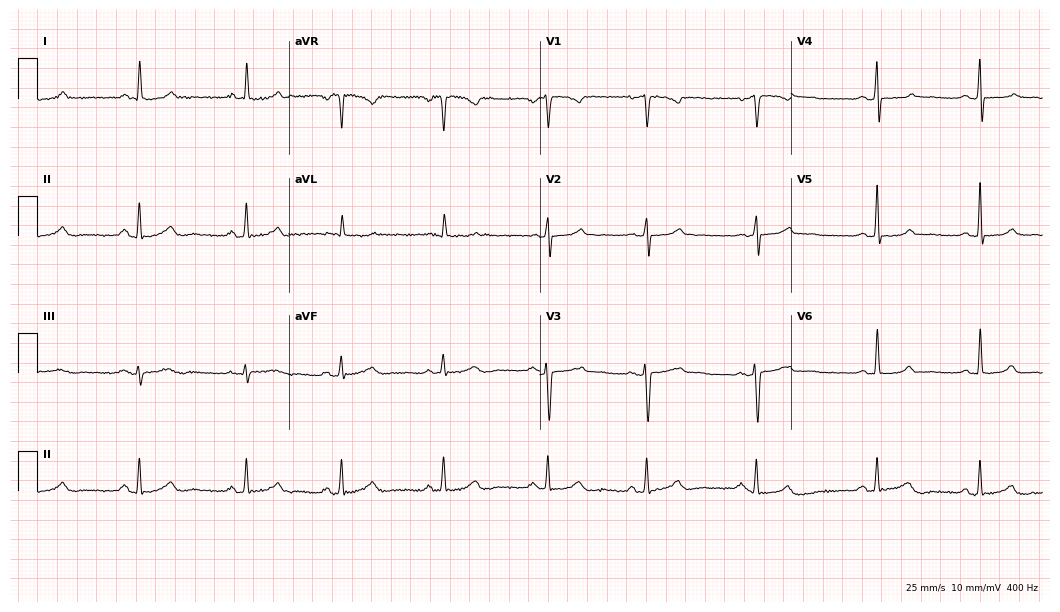
Electrocardiogram (10.2-second recording at 400 Hz), a 32-year-old female. Overall reading on record: normal ECG.